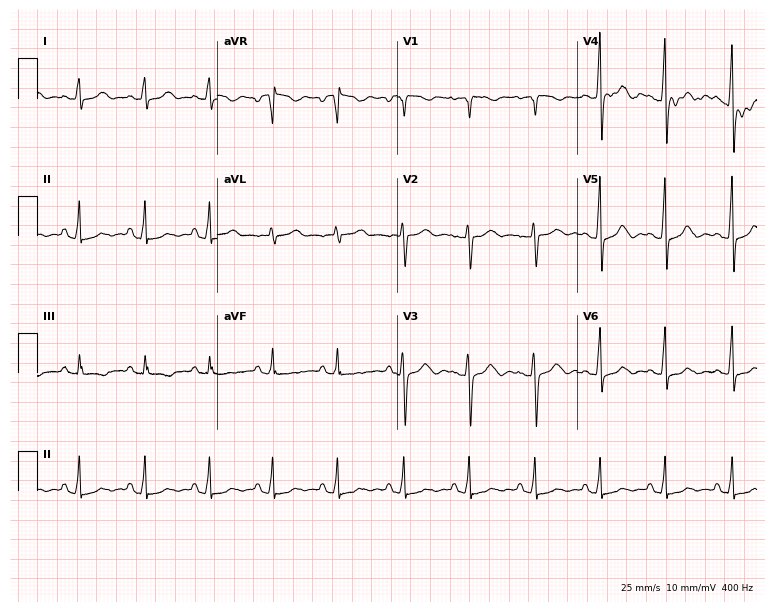
ECG — a 45-year-old female. Screened for six findings — first-degree AV block, right bundle branch block (RBBB), left bundle branch block (LBBB), sinus bradycardia, atrial fibrillation (AF), sinus tachycardia — none is recorded.